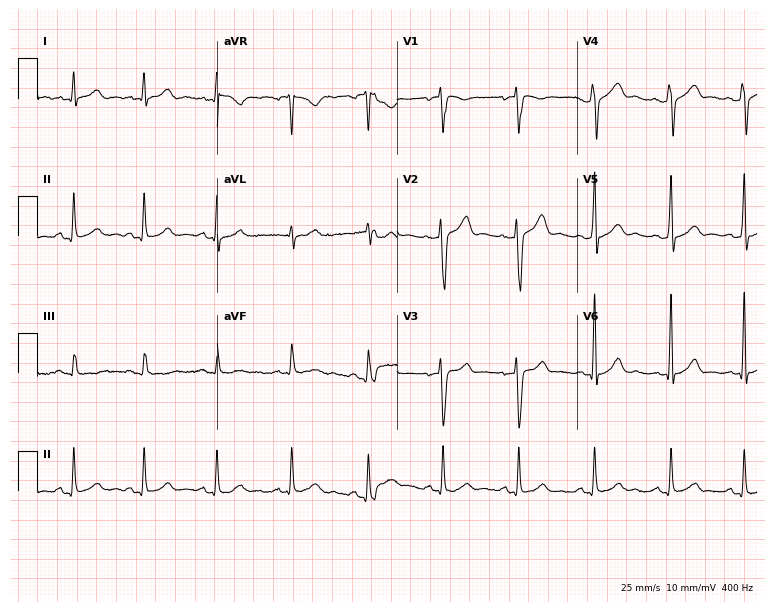
ECG (7.3-second recording at 400 Hz) — a male patient, 37 years old. Labelled as a normal ECG.